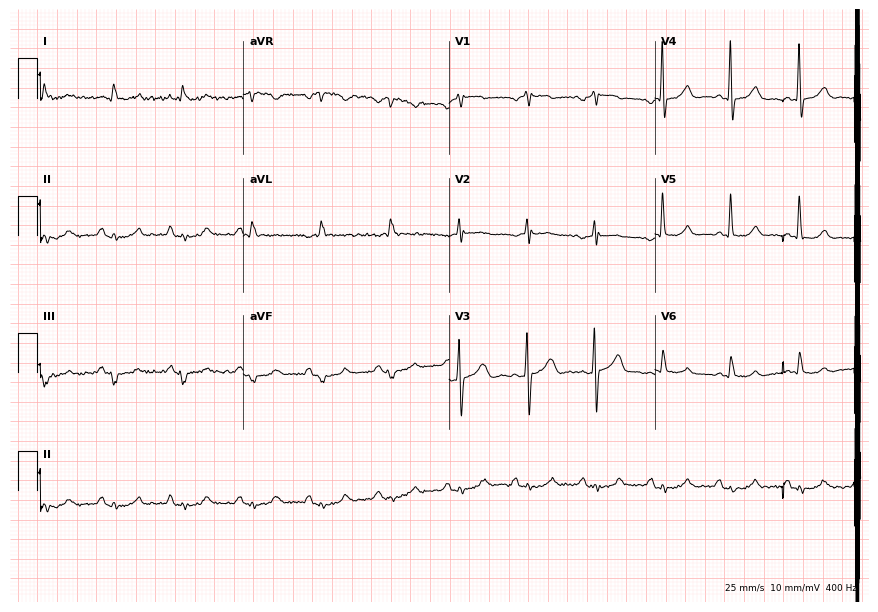
12-lead ECG from a 79-year-old man (8.4-second recording at 400 Hz). No first-degree AV block, right bundle branch block, left bundle branch block, sinus bradycardia, atrial fibrillation or sinus tachycardia recorded for this tracing. Only these six findings were labelled.